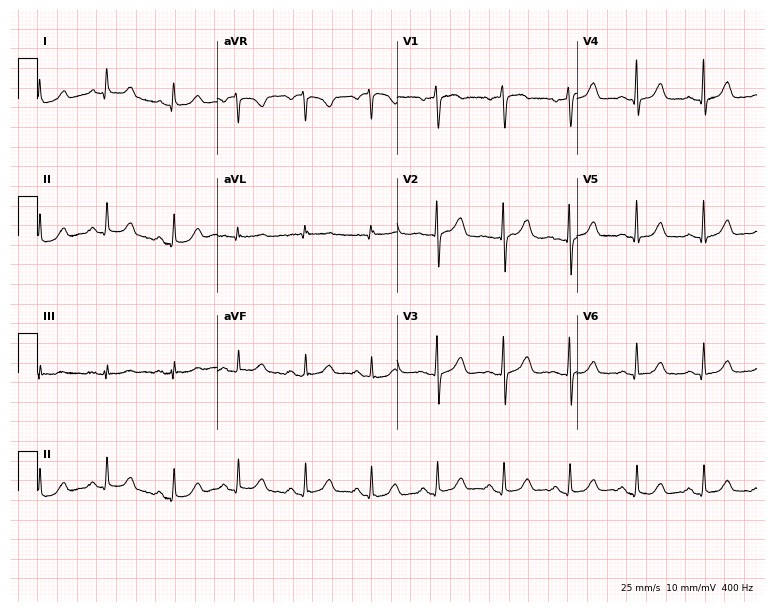
Standard 12-lead ECG recorded from a woman, 58 years old. Read as a normal ECG.